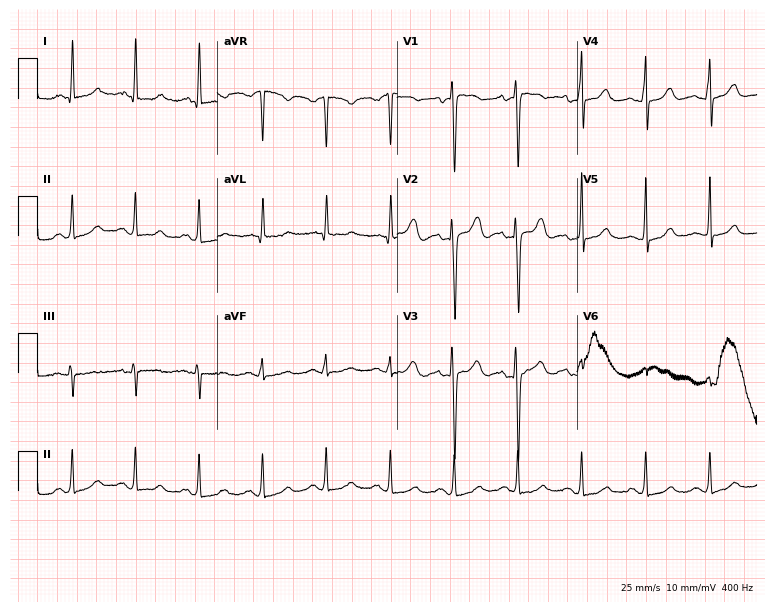
12-lead ECG from a 51-year-old female. No first-degree AV block, right bundle branch block, left bundle branch block, sinus bradycardia, atrial fibrillation or sinus tachycardia recorded for this tracing.